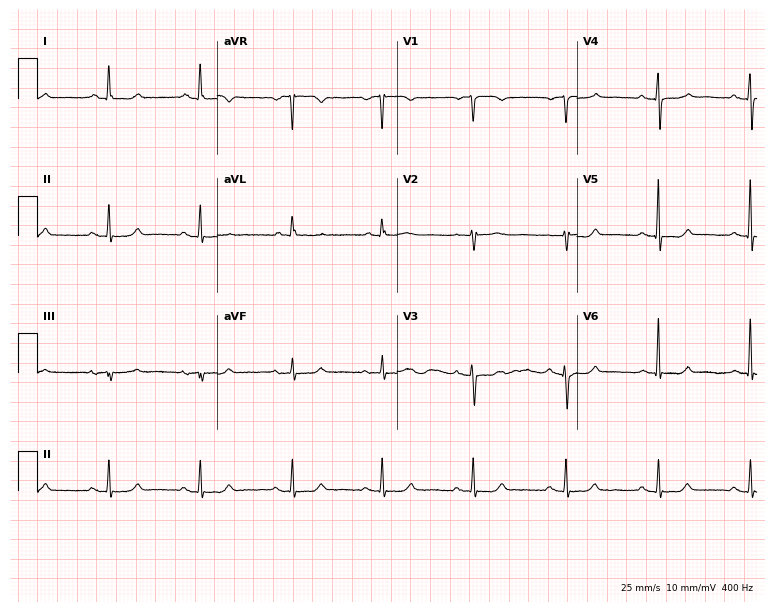
Electrocardiogram, a female, 58 years old. Overall reading on record: normal ECG.